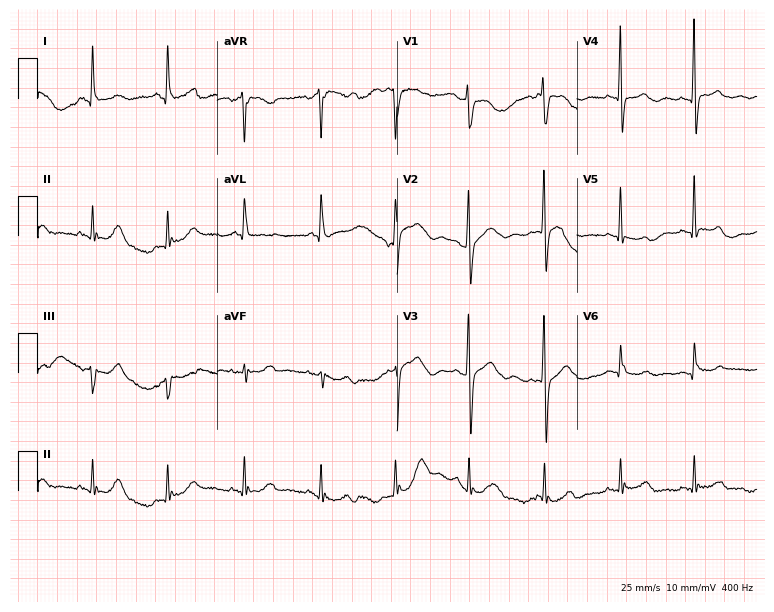
12-lead ECG from a female patient, 59 years old (7.3-second recording at 400 Hz). No first-degree AV block, right bundle branch block, left bundle branch block, sinus bradycardia, atrial fibrillation or sinus tachycardia recorded for this tracing. Other findings, if any, are not listed.